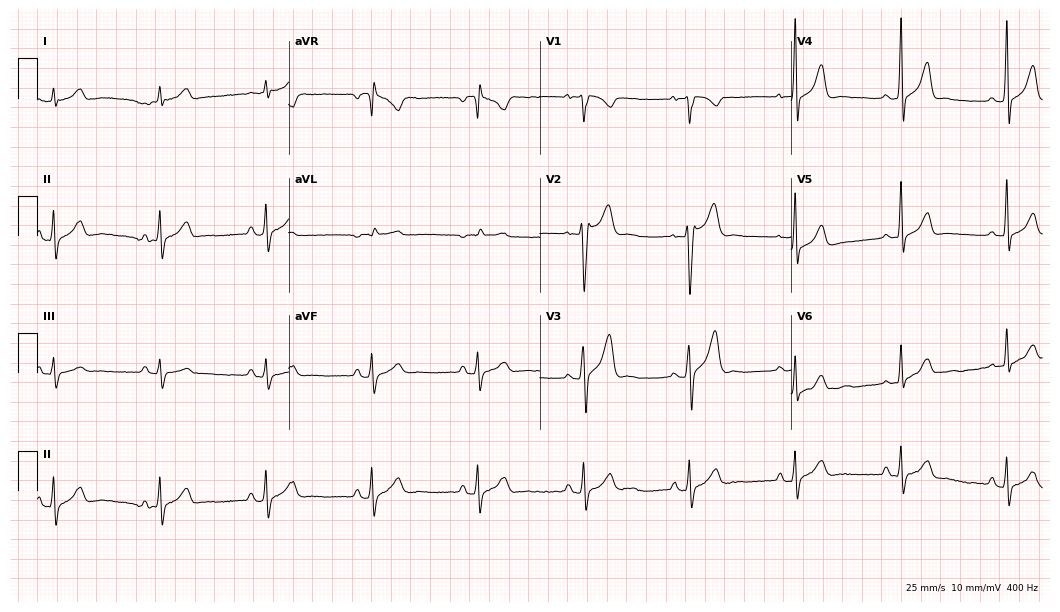
12-lead ECG from a male, 21 years old. No first-degree AV block, right bundle branch block, left bundle branch block, sinus bradycardia, atrial fibrillation or sinus tachycardia recorded for this tracing. Findings outside these six are not listed.